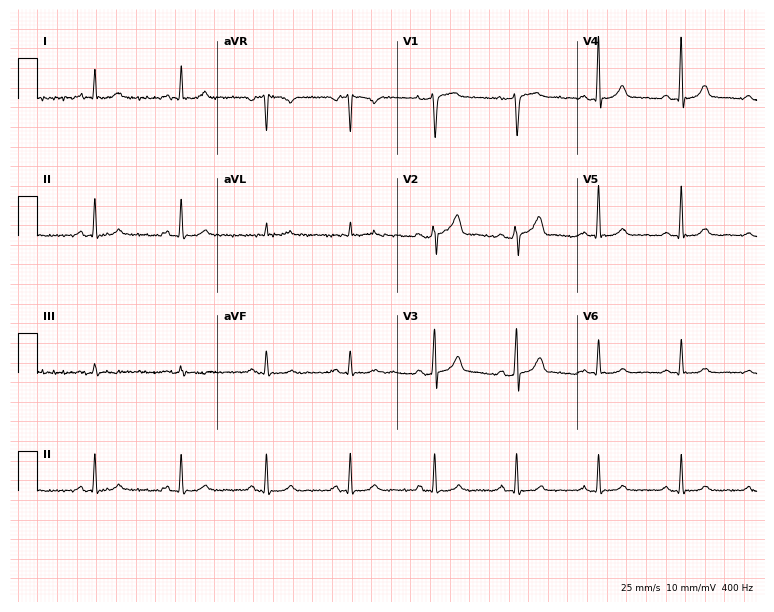
12-lead ECG (7.3-second recording at 400 Hz) from a male patient, 54 years old. Screened for six findings — first-degree AV block, right bundle branch block (RBBB), left bundle branch block (LBBB), sinus bradycardia, atrial fibrillation (AF), sinus tachycardia — none is recorded. Only these six findings were labelled.